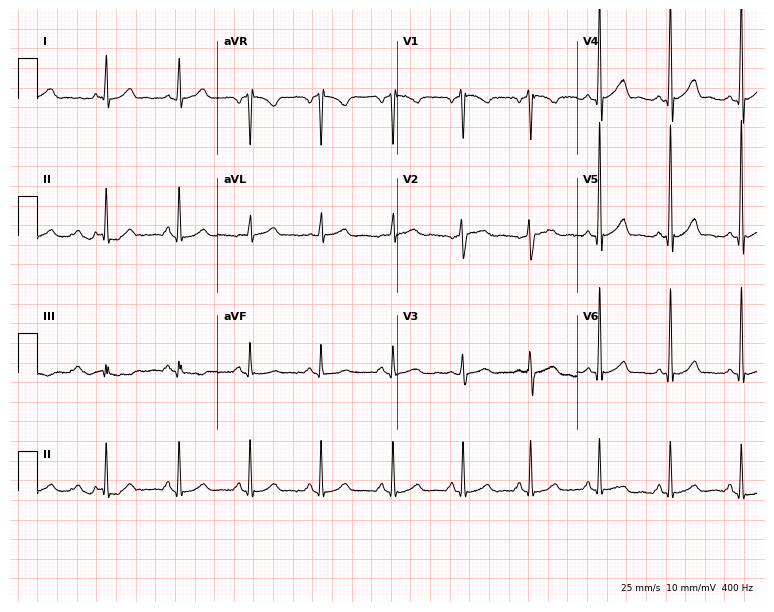
12-lead ECG from a male, 41 years old. Screened for six findings — first-degree AV block, right bundle branch block (RBBB), left bundle branch block (LBBB), sinus bradycardia, atrial fibrillation (AF), sinus tachycardia — none is recorded.